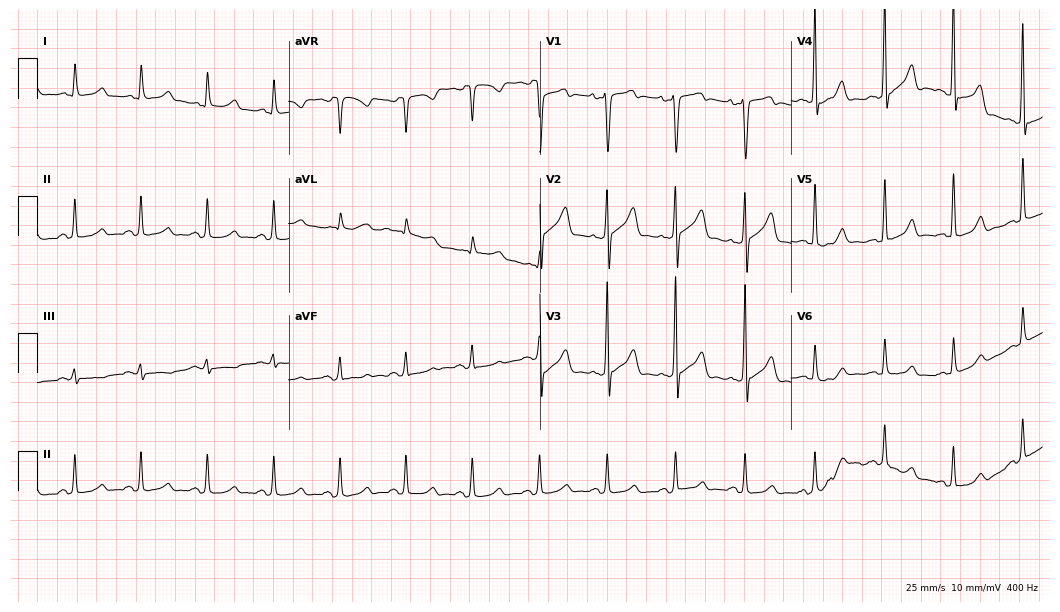
Standard 12-lead ECG recorded from a male patient, 40 years old (10.2-second recording at 400 Hz). Read as a normal ECG.